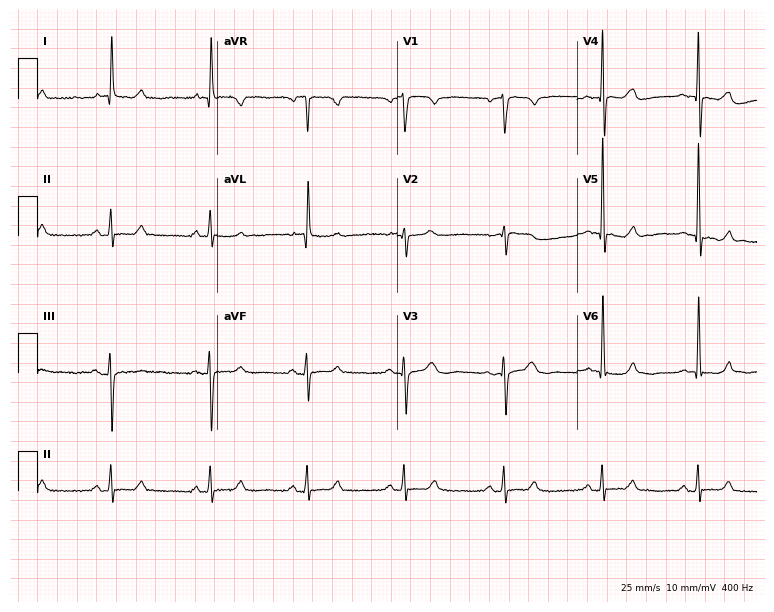
Electrocardiogram (7.3-second recording at 400 Hz), a 74-year-old female patient. Overall reading on record: normal ECG.